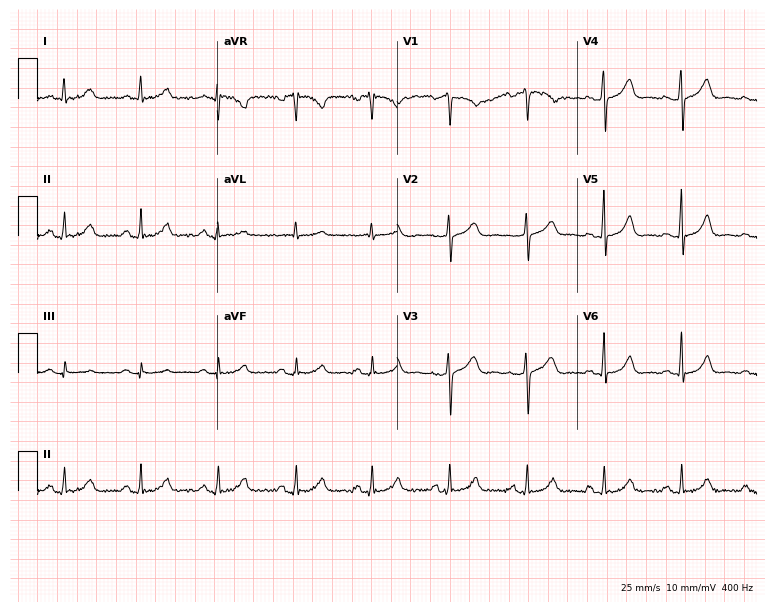
Standard 12-lead ECG recorded from a 40-year-old female. Read as a normal ECG.